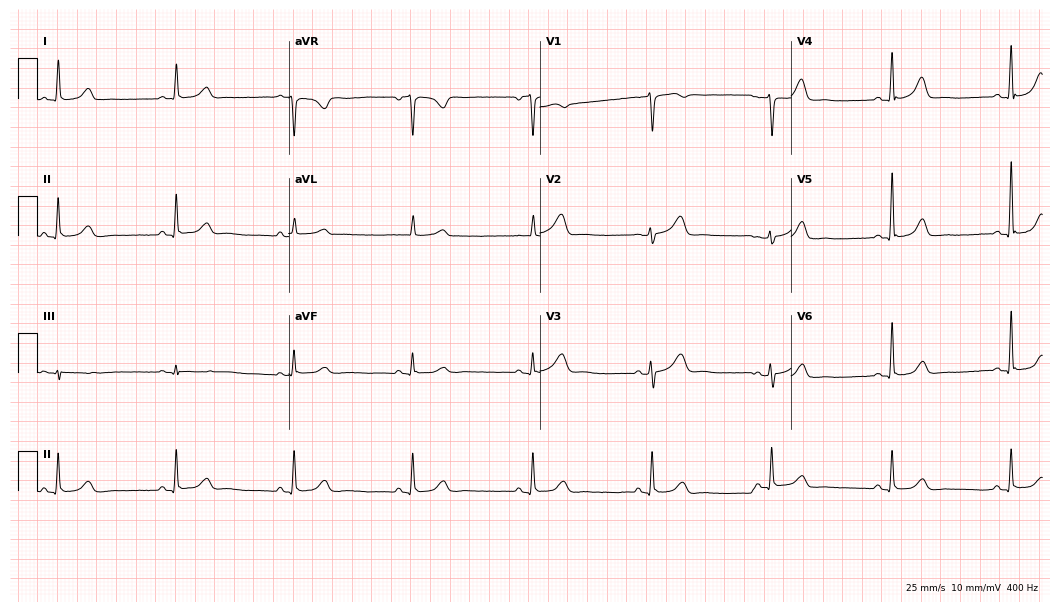
Standard 12-lead ECG recorded from a female patient, 67 years old. None of these six findings is recorded: first-degree AV block, right bundle branch block (RBBB), left bundle branch block (LBBB), sinus bradycardia, atrial fibrillation (AF), sinus tachycardia. Other findings, if any, are not listed.